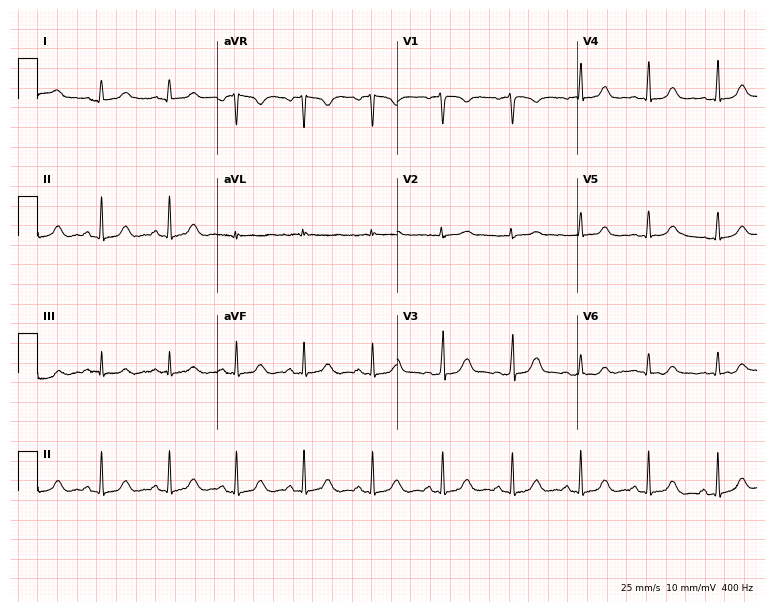
12-lead ECG from a woman, 31 years old. Recorded interpretation: within normal limits.